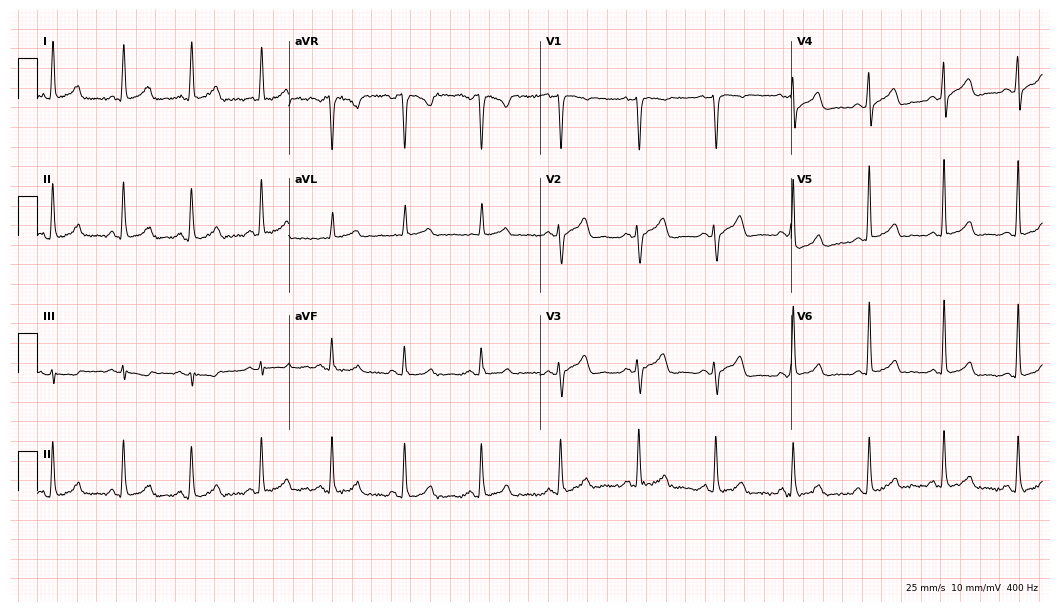
Electrocardiogram (10.2-second recording at 400 Hz), a male patient, 57 years old. Of the six screened findings (first-degree AV block, right bundle branch block, left bundle branch block, sinus bradycardia, atrial fibrillation, sinus tachycardia), none is recorded. Only these six findings were labelled.